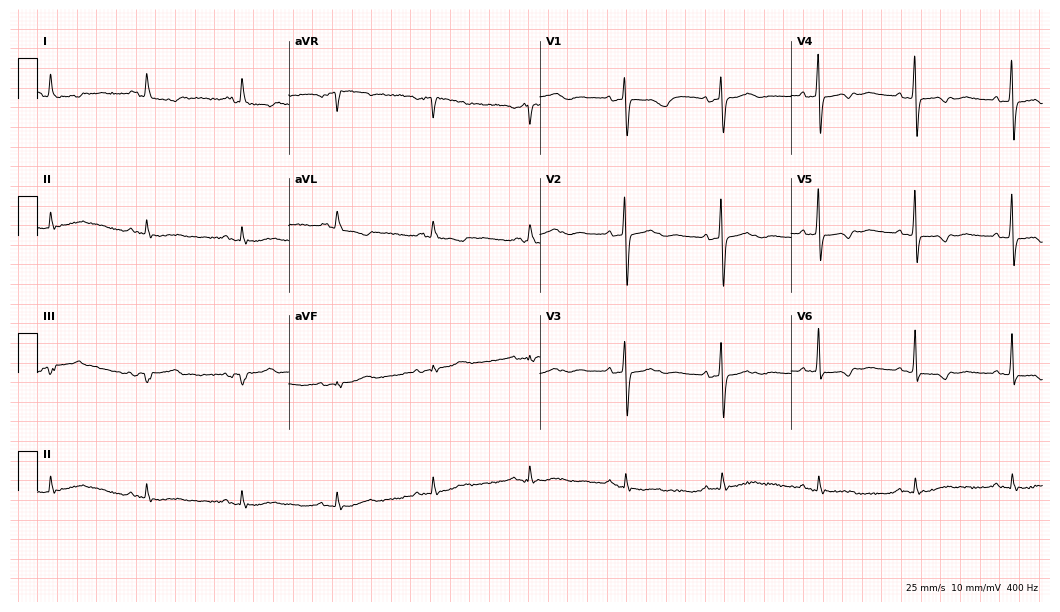
Standard 12-lead ECG recorded from a female patient, 81 years old. None of these six findings is recorded: first-degree AV block, right bundle branch block, left bundle branch block, sinus bradycardia, atrial fibrillation, sinus tachycardia. Findings outside these six are not listed.